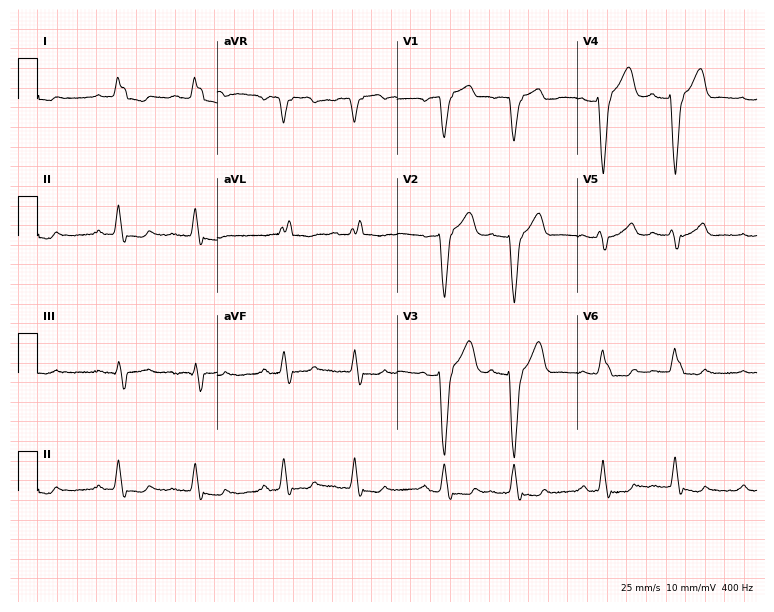
12-lead ECG from a male, 79 years old (7.3-second recording at 400 Hz). Shows left bundle branch block (LBBB).